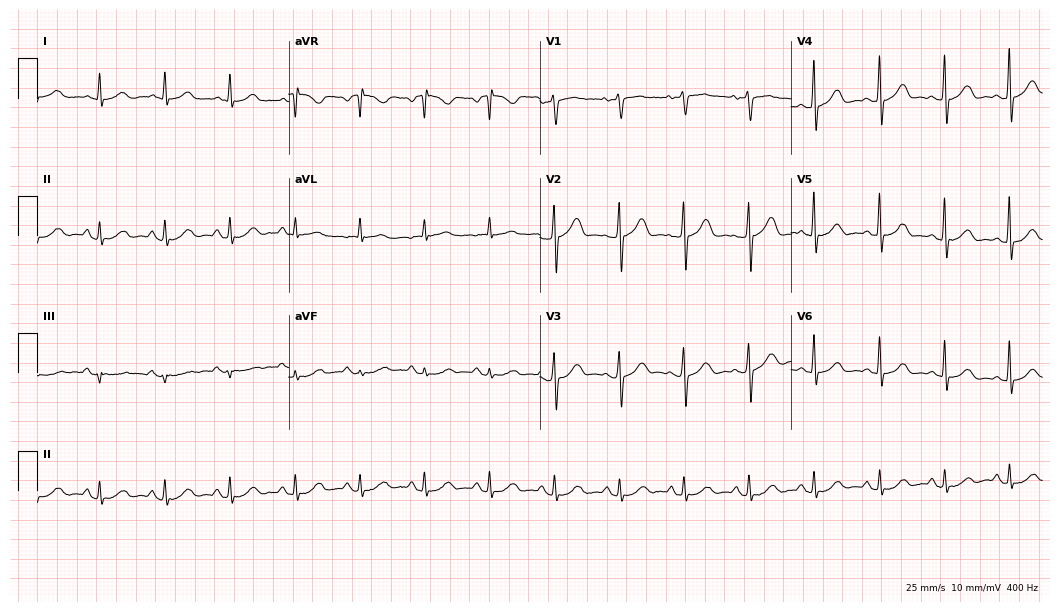
Resting 12-lead electrocardiogram. Patient: a 69-year-old female. Read as a normal ECG.